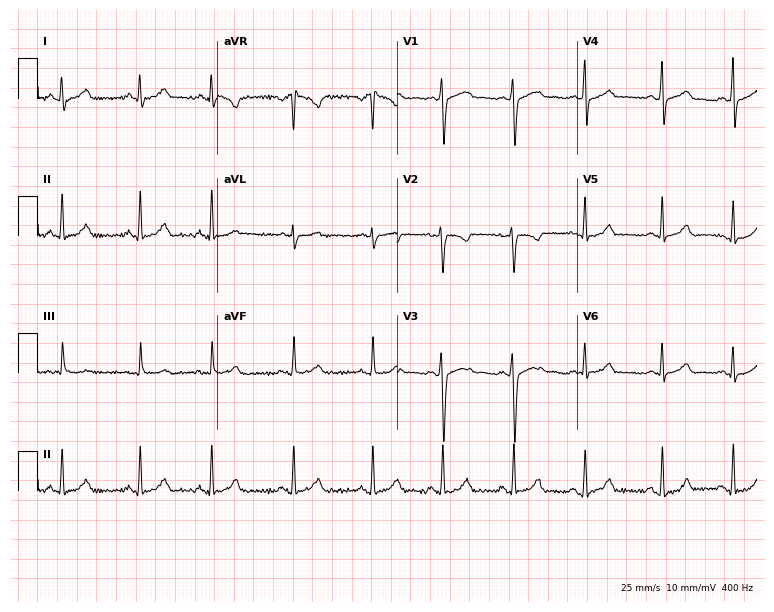
Resting 12-lead electrocardiogram. Patient: a 22-year-old female. None of these six findings is recorded: first-degree AV block, right bundle branch block, left bundle branch block, sinus bradycardia, atrial fibrillation, sinus tachycardia. Other findings, if any, are not listed.